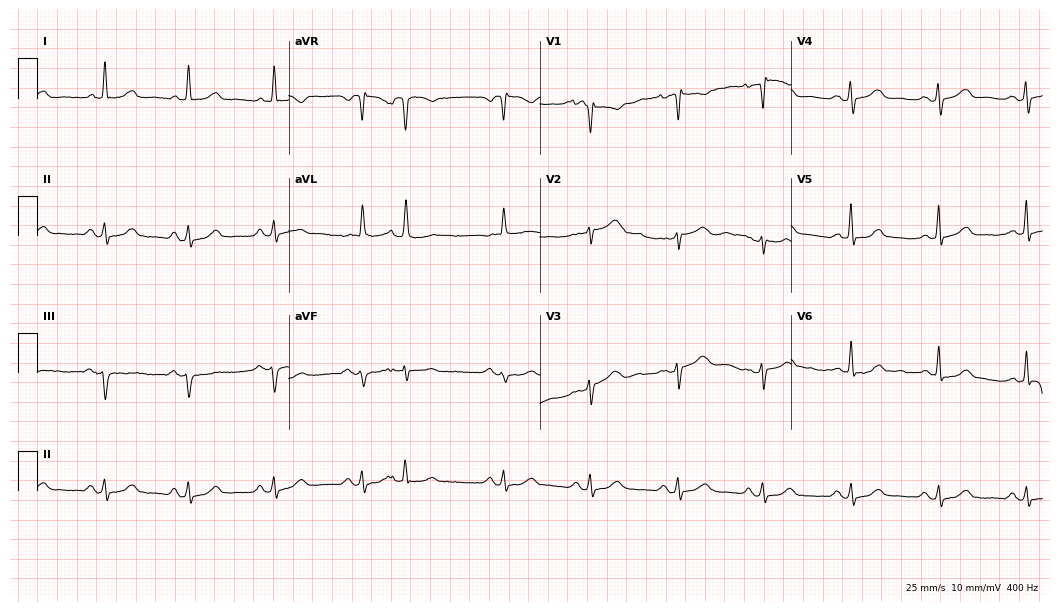
Electrocardiogram (10.2-second recording at 400 Hz), a 75-year-old female patient. Of the six screened findings (first-degree AV block, right bundle branch block (RBBB), left bundle branch block (LBBB), sinus bradycardia, atrial fibrillation (AF), sinus tachycardia), none is recorded.